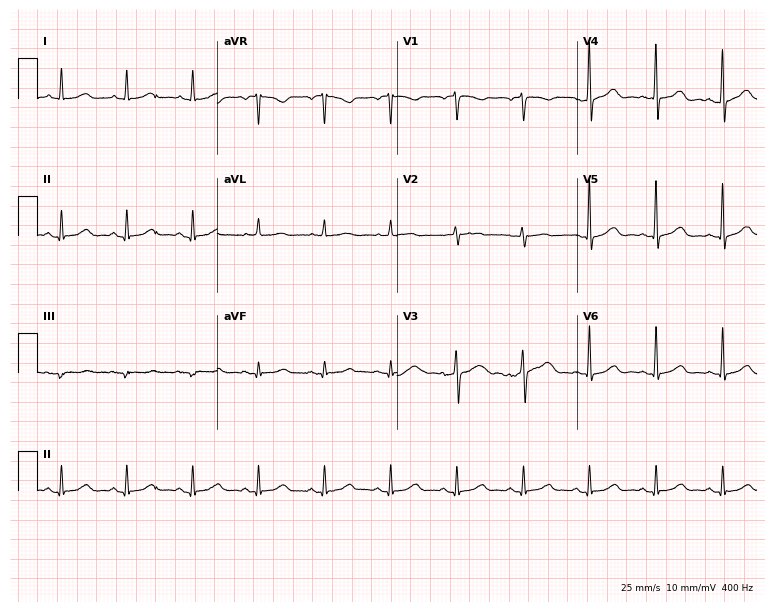
12-lead ECG from a female, 58 years old (7.3-second recording at 400 Hz). Recorded interpretation: within normal limits.